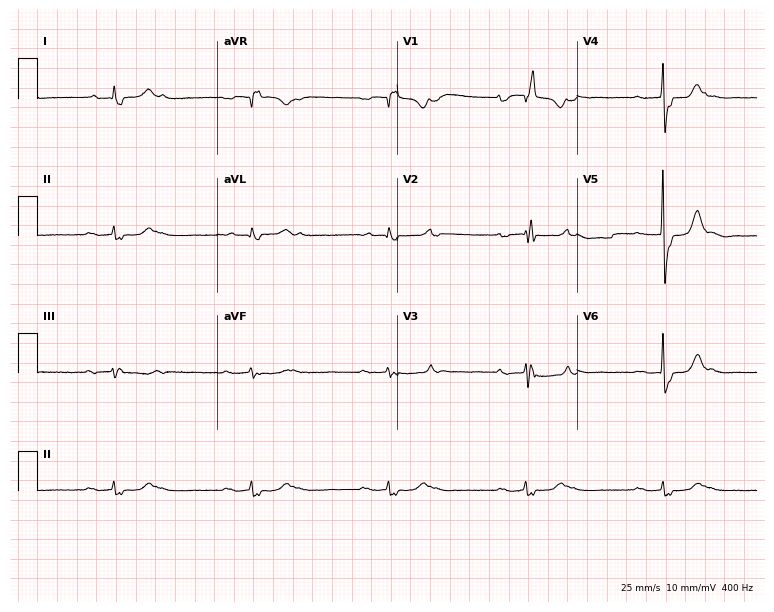
ECG (7.3-second recording at 400 Hz) — a 79-year-old female. Screened for six findings — first-degree AV block, right bundle branch block, left bundle branch block, sinus bradycardia, atrial fibrillation, sinus tachycardia — none is recorded.